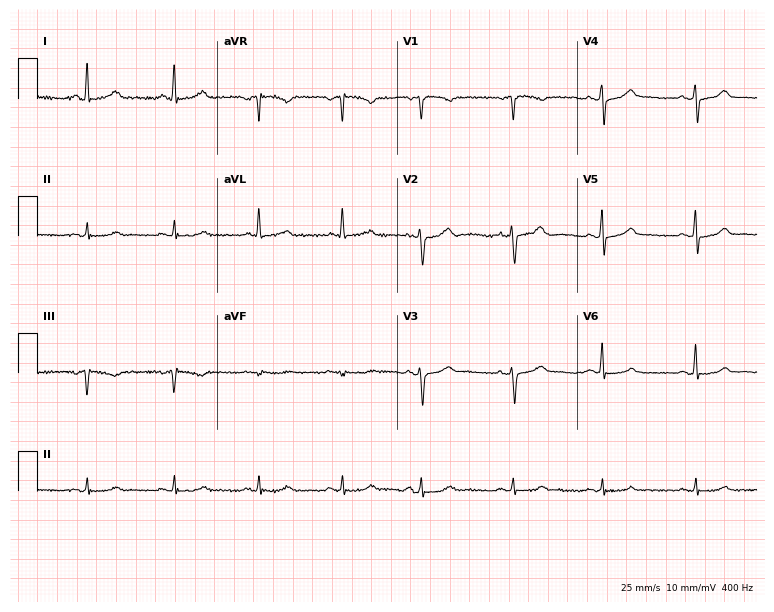
12-lead ECG from a 70-year-old female patient. Labelled as a normal ECG.